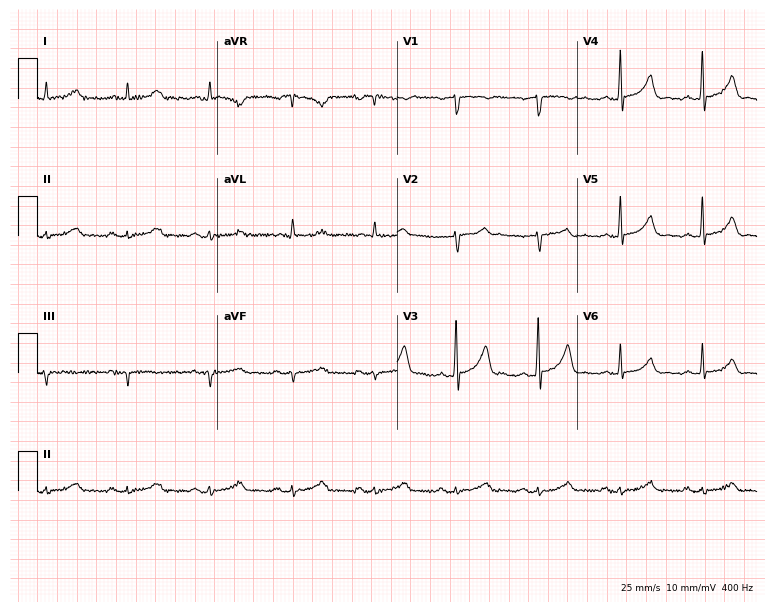
12-lead ECG from a 58-year-old male. Screened for six findings — first-degree AV block, right bundle branch block, left bundle branch block, sinus bradycardia, atrial fibrillation, sinus tachycardia — none is recorded. Findings outside these six are not listed.